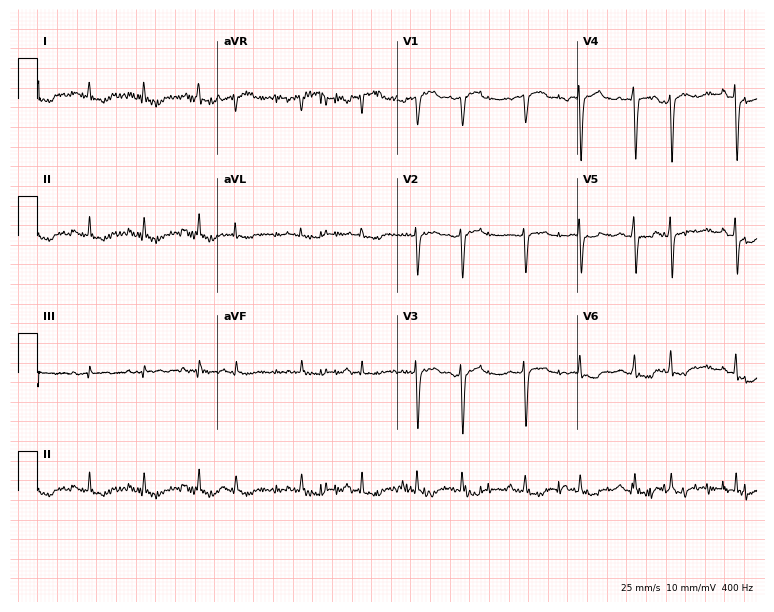
12-lead ECG from a female, 74 years old. Screened for six findings — first-degree AV block, right bundle branch block (RBBB), left bundle branch block (LBBB), sinus bradycardia, atrial fibrillation (AF), sinus tachycardia — none is recorded.